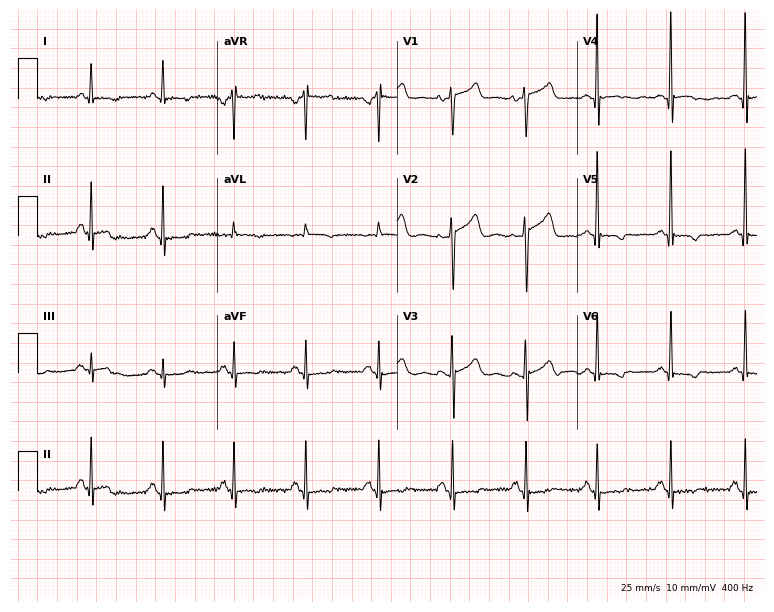
Electrocardiogram (7.3-second recording at 400 Hz), a 57-year-old female patient. Of the six screened findings (first-degree AV block, right bundle branch block, left bundle branch block, sinus bradycardia, atrial fibrillation, sinus tachycardia), none is recorded. Only these six findings were labelled.